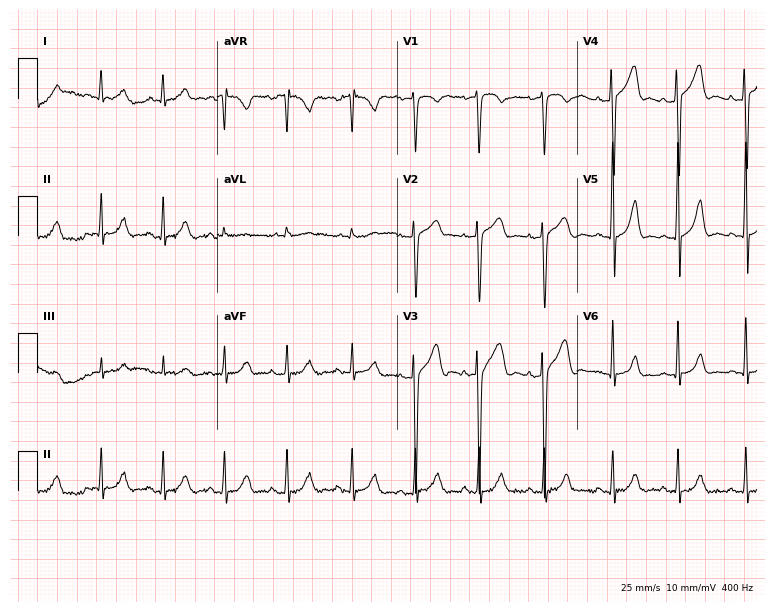
Standard 12-lead ECG recorded from a woman, 32 years old. Read as a normal ECG.